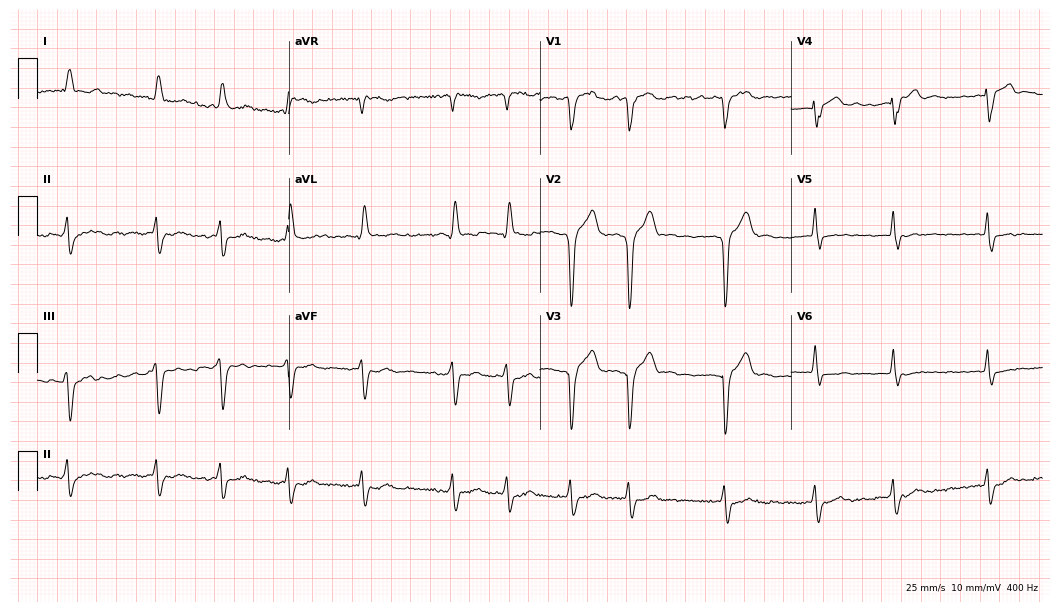
Standard 12-lead ECG recorded from a male, 73 years old. The tracing shows atrial fibrillation.